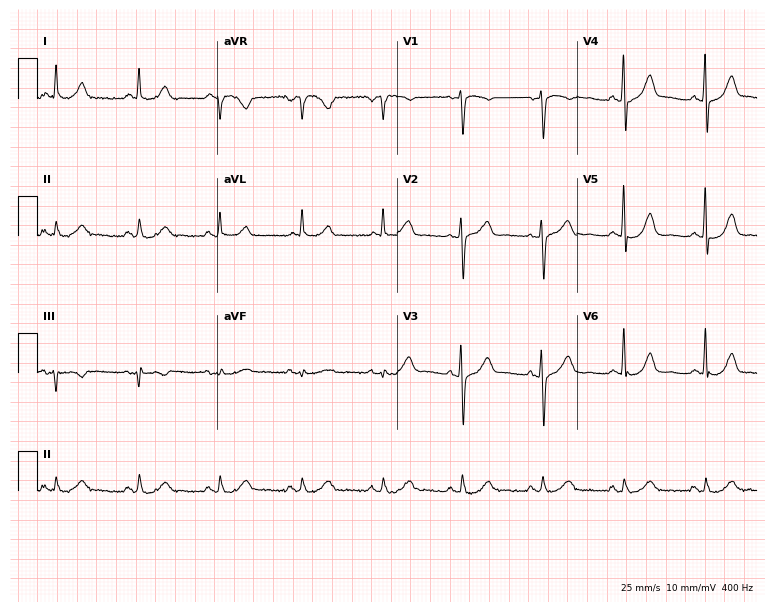
Standard 12-lead ECG recorded from a male, 72 years old. None of these six findings is recorded: first-degree AV block, right bundle branch block (RBBB), left bundle branch block (LBBB), sinus bradycardia, atrial fibrillation (AF), sinus tachycardia.